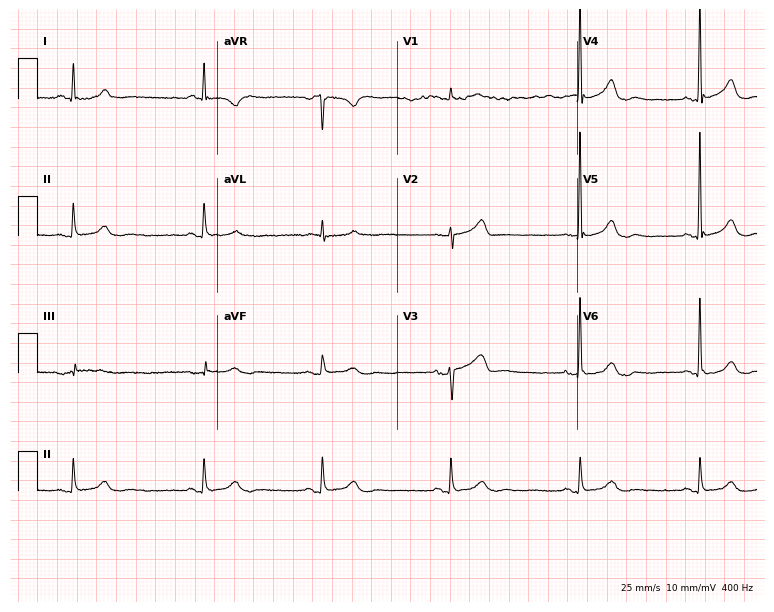
12-lead ECG from a 71-year-old female. Recorded interpretation: within normal limits.